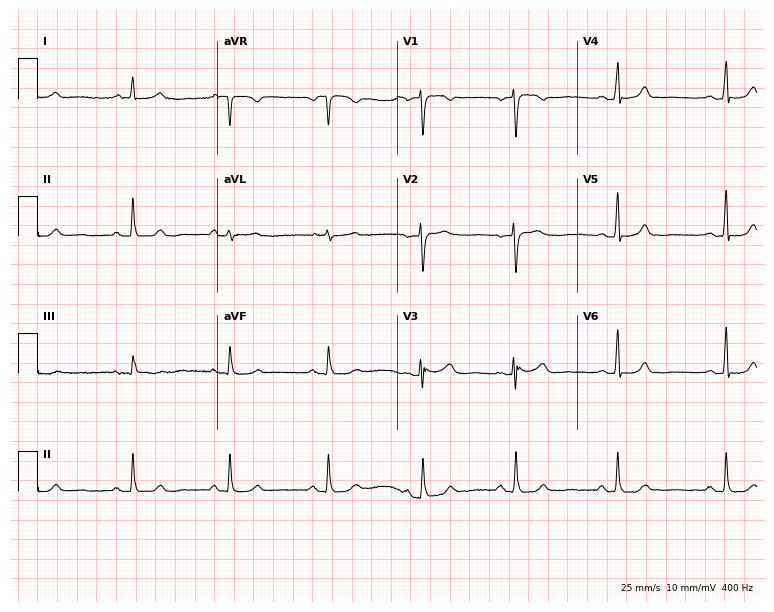
Resting 12-lead electrocardiogram. Patient: a female, 49 years old. None of these six findings is recorded: first-degree AV block, right bundle branch block, left bundle branch block, sinus bradycardia, atrial fibrillation, sinus tachycardia.